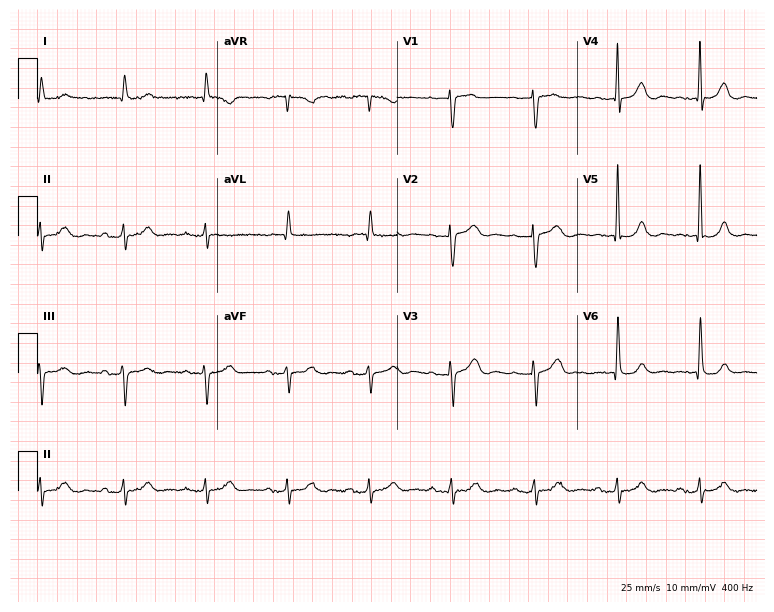
ECG (7.3-second recording at 400 Hz) — a male patient, 74 years old. Screened for six findings — first-degree AV block, right bundle branch block, left bundle branch block, sinus bradycardia, atrial fibrillation, sinus tachycardia — none is recorded.